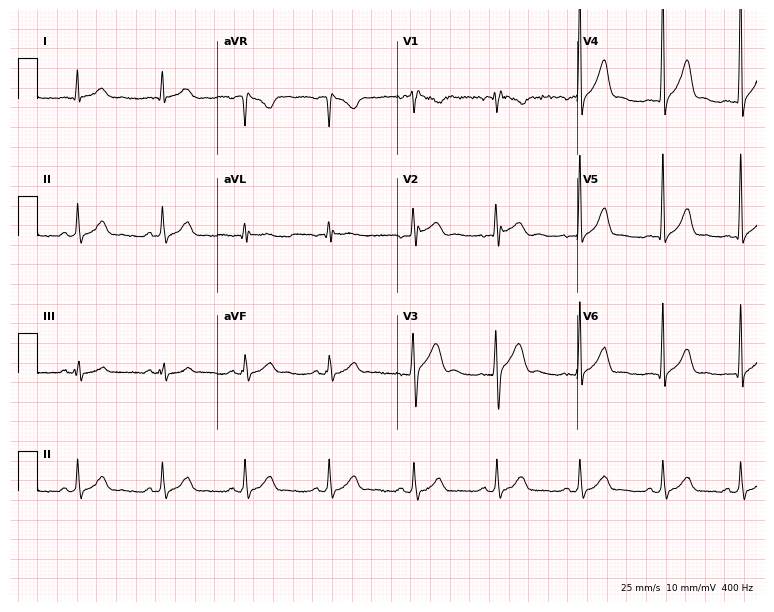
ECG (7.3-second recording at 400 Hz) — a man, 25 years old. Labelled as a normal ECG.